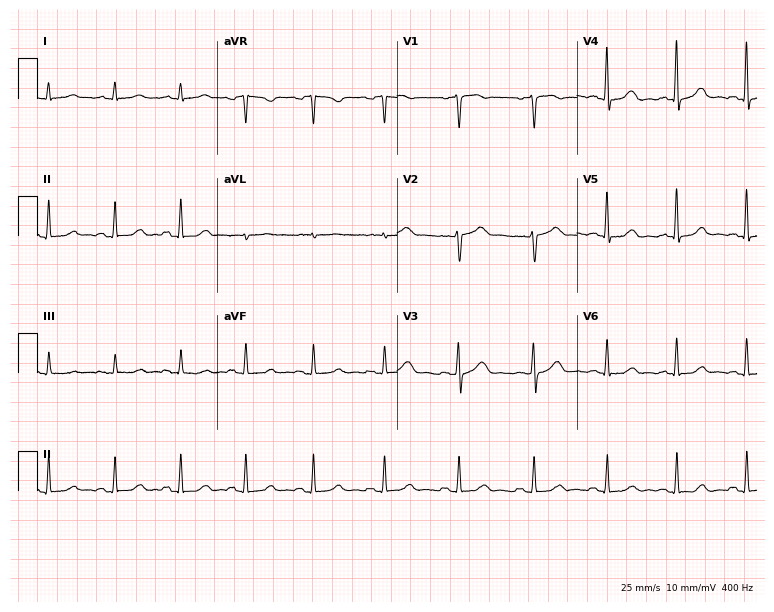
Resting 12-lead electrocardiogram. Patient: a female, 45 years old. None of these six findings is recorded: first-degree AV block, right bundle branch block, left bundle branch block, sinus bradycardia, atrial fibrillation, sinus tachycardia.